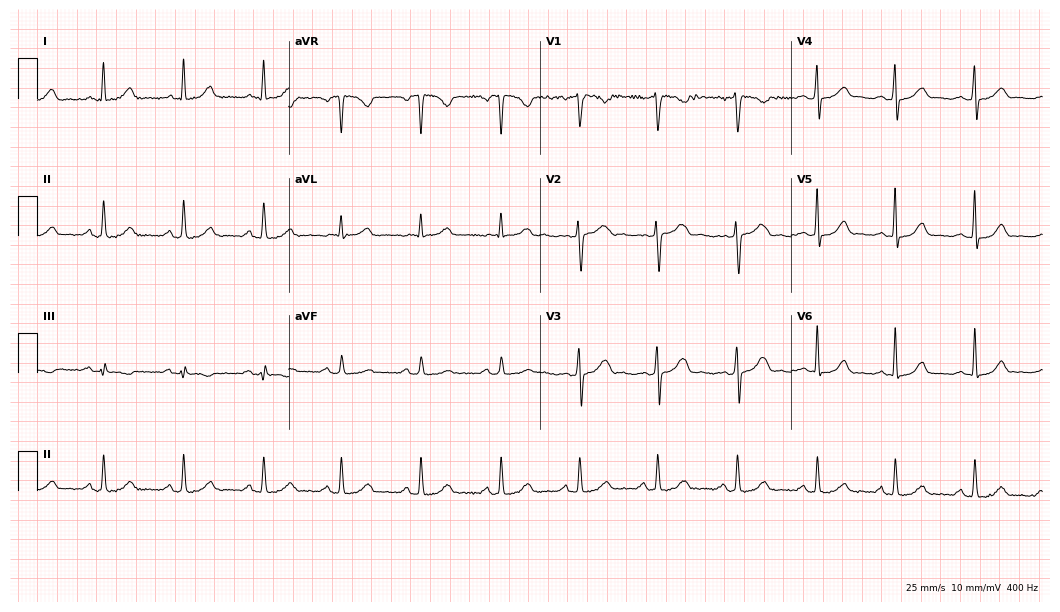
12-lead ECG from a 27-year-old female. Recorded interpretation: within normal limits.